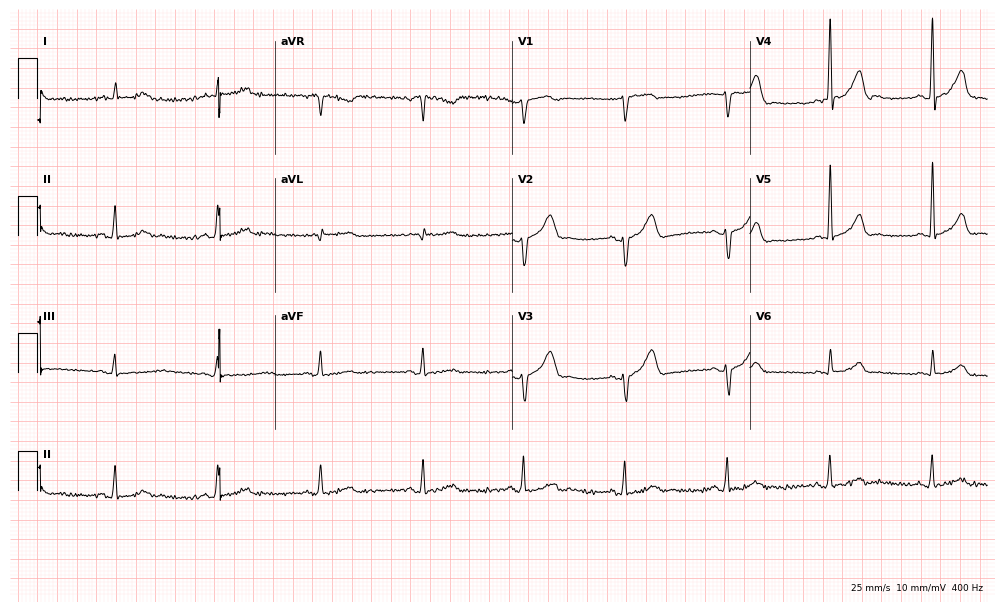
ECG (9.7-second recording at 400 Hz) — a man, 81 years old. Labelled as a normal ECG.